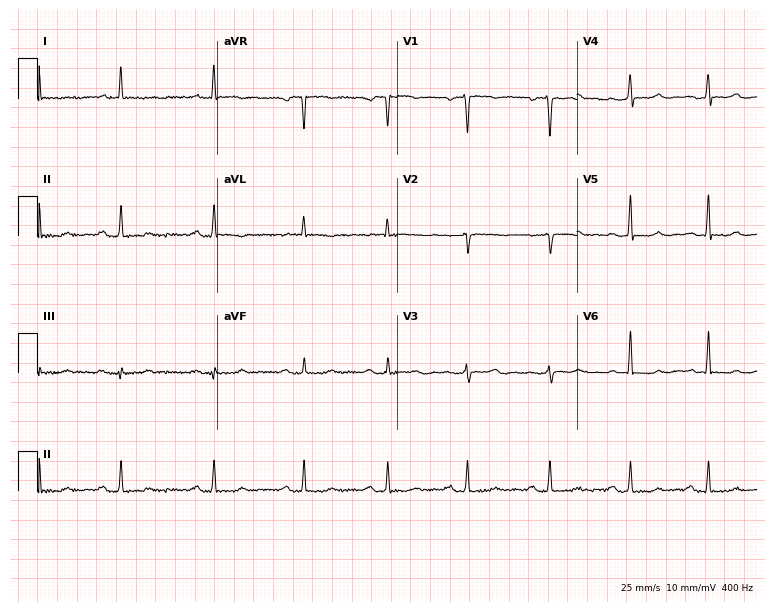
Electrocardiogram (7.3-second recording at 400 Hz), a 49-year-old female patient. Of the six screened findings (first-degree AV block, right bundle branch block, left bundle branch block, sinus bradycardia, atrial fibrillation, sinus tachycardia), none is recorded. Other findings, if any, are not listed.